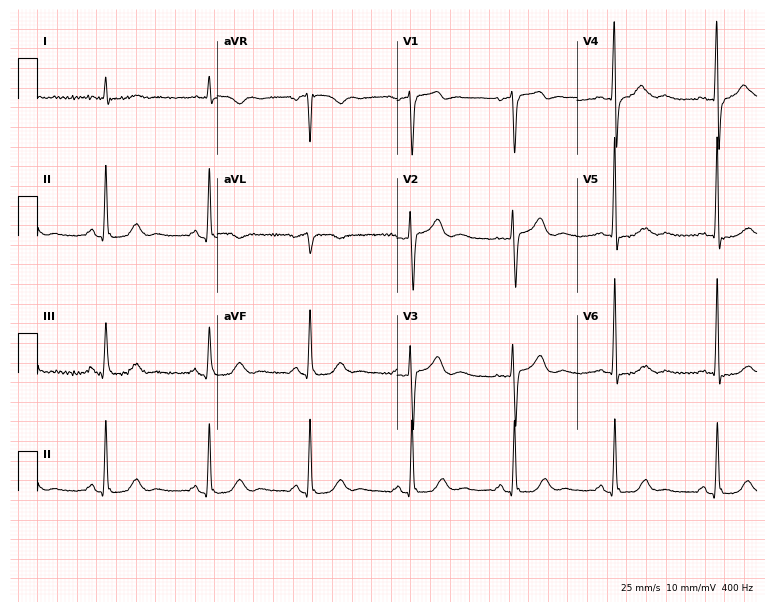
Standard 12-lead ECG recorded from a 74-year-old male patient. Read as a normal ECG.